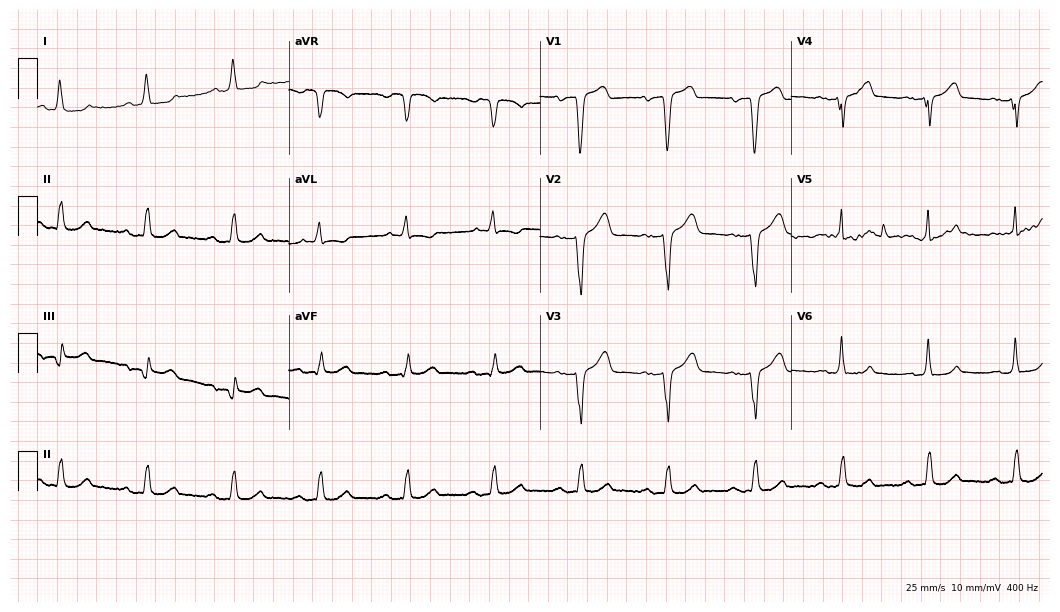
12-lead ECG from a man, 68 years old. No first-degree AV block, right bundle branch block (RBBB), left bundle branch block (LBBB), sinus bradycardia, atrial fibrillation (AF) or sinus tachycardia recorded for this tracing.